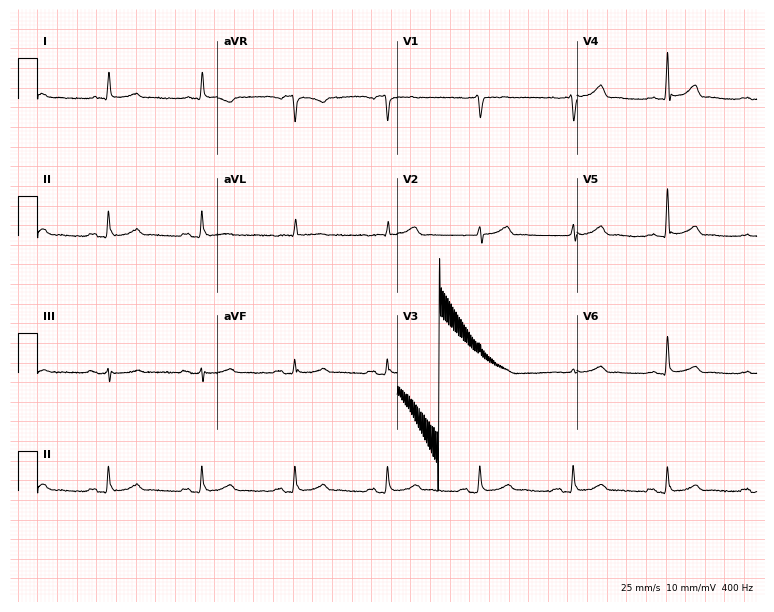
Resting 12-lead electrocardiogram (7.3-second recording at 400 Hz). Patient: a 72-year-old man. Read as a normal ECG.